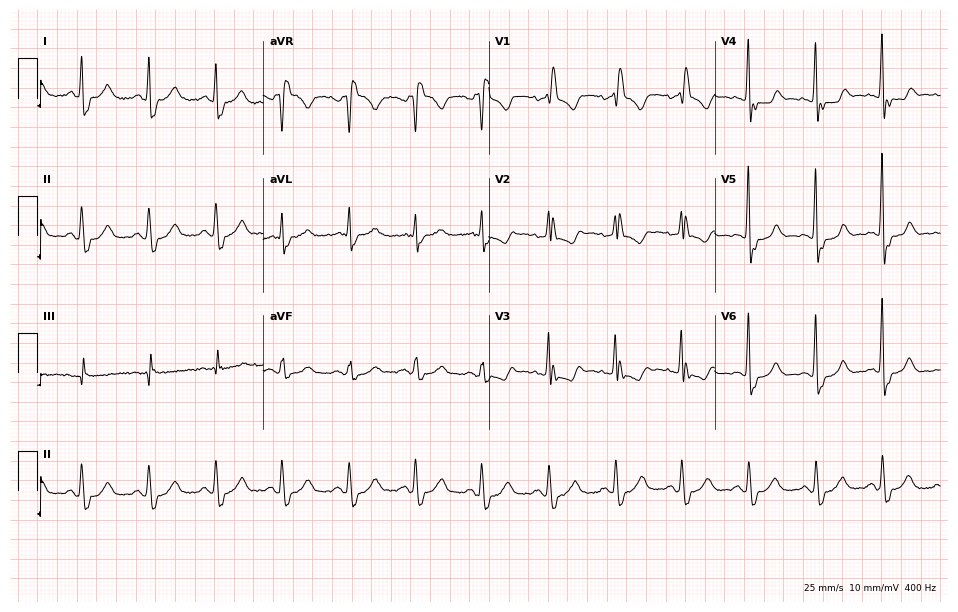
Standard 12-lead ECG recorded from a woman, 84 years old. The tracing shows right bundle branch block (RBBB).